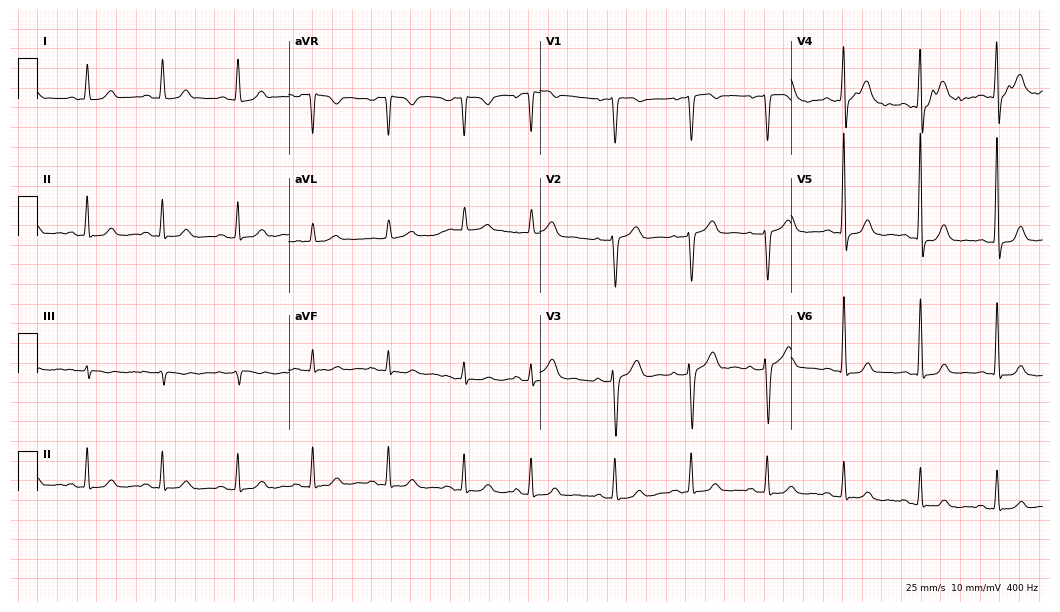
Resting 12-lead electrocardiogram (10.2-second recording at 400 Hz). Patient: a male, 71 years old. Read as a normal ECG.